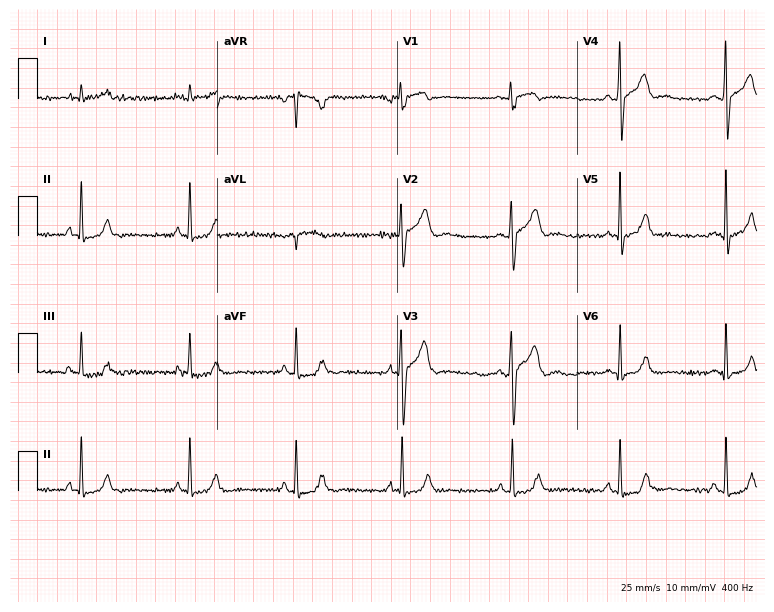
ECG — a man, 56 years old. Labelled as a normal ECG.